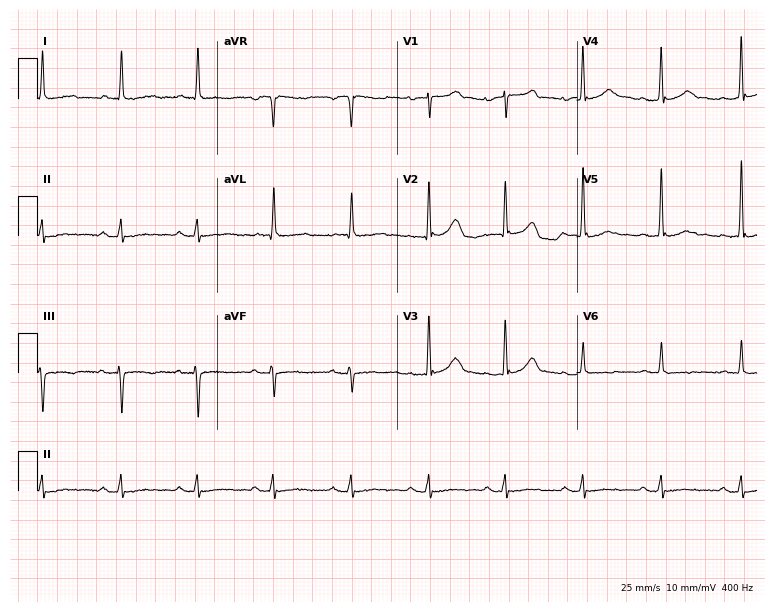
Resting 12-lead electrocardiogram. Patient: a 75-year-old male. None of these six findings is recorded: first-degree AV block, right bundle branch block, left bundle branch block, sinus bradycardia, atrial fibrillation, sinus tachycardia. Other findings, if any, are not listed.